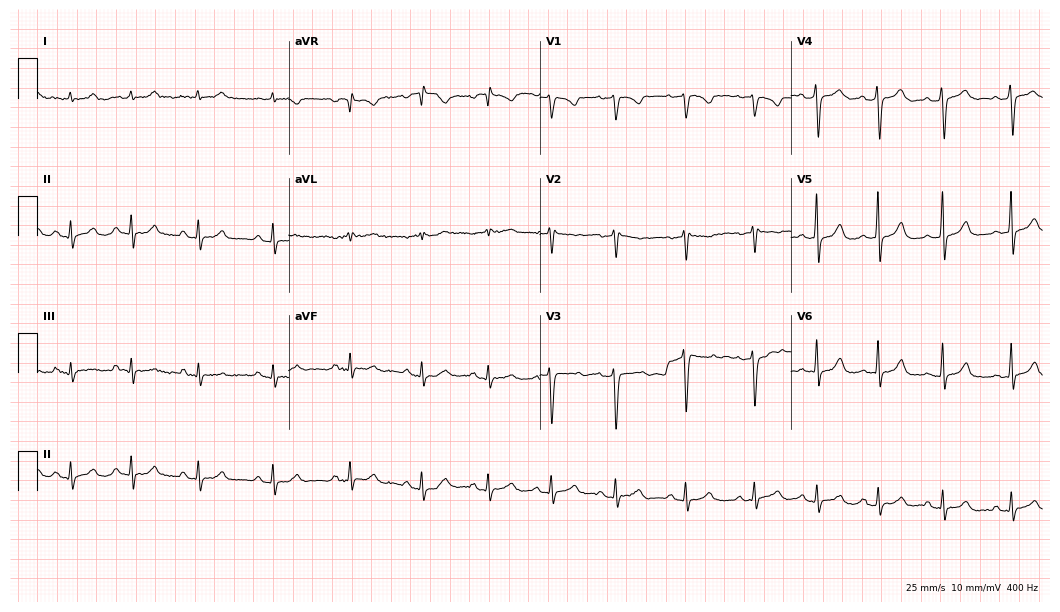
12-lead ECG from a 22-year-old female (10.2-second recording at 400 Hz). Recorded interpretation: within normal limits.